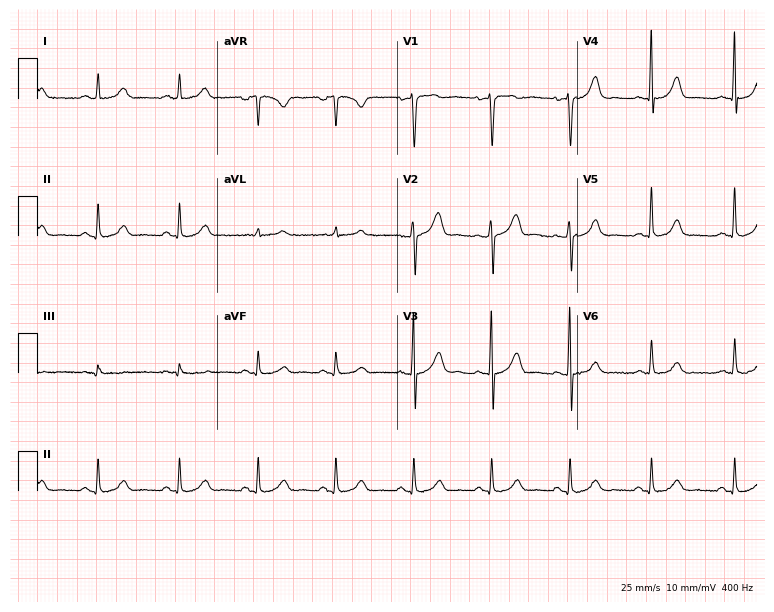
Standard 12-lead ECG recorded from a 45-year-old female patient. Read as a normal ECG.